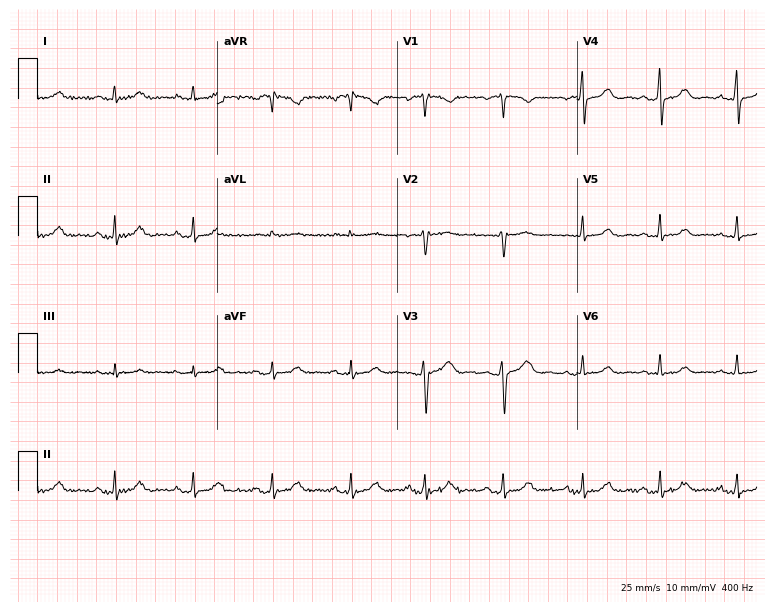
ECG (7.3-second recording at 400 Hz) — a 43-year-old woman. Labelled as a normal ECG.